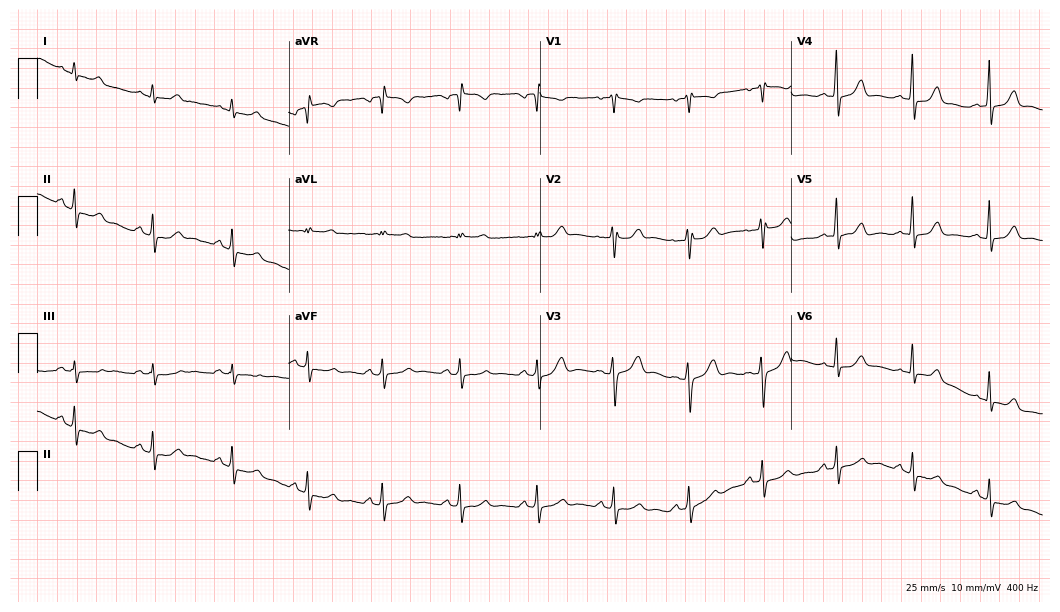
Electrocardiogram, a 30-year-old female. Overall reading on record: normal ECG.